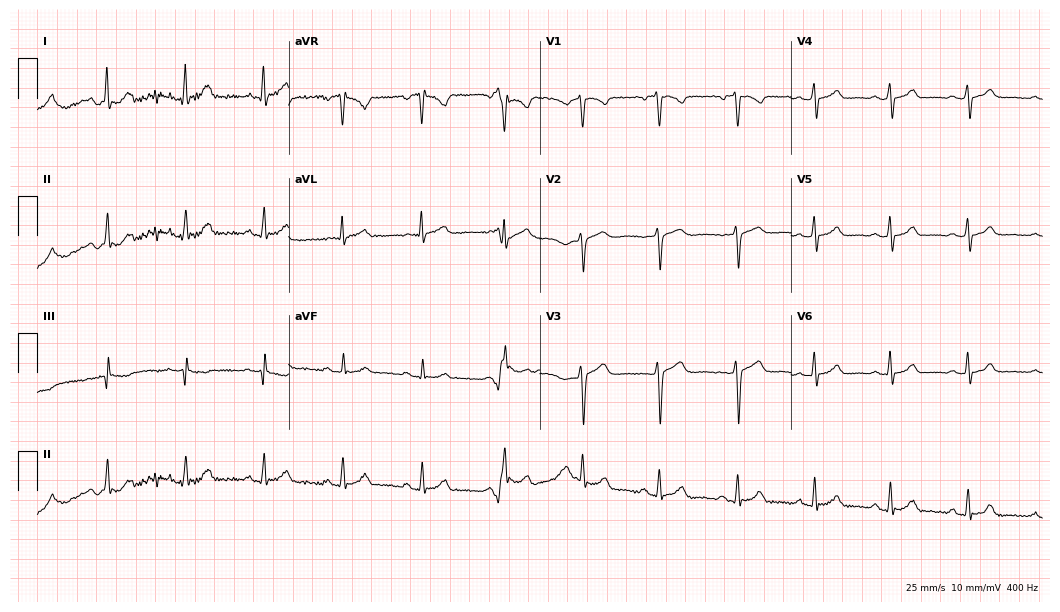
12-lead ECG from a 35-year-old female (10.2-second recording at 400 Hz). Recorded interpretation: within normal limits.